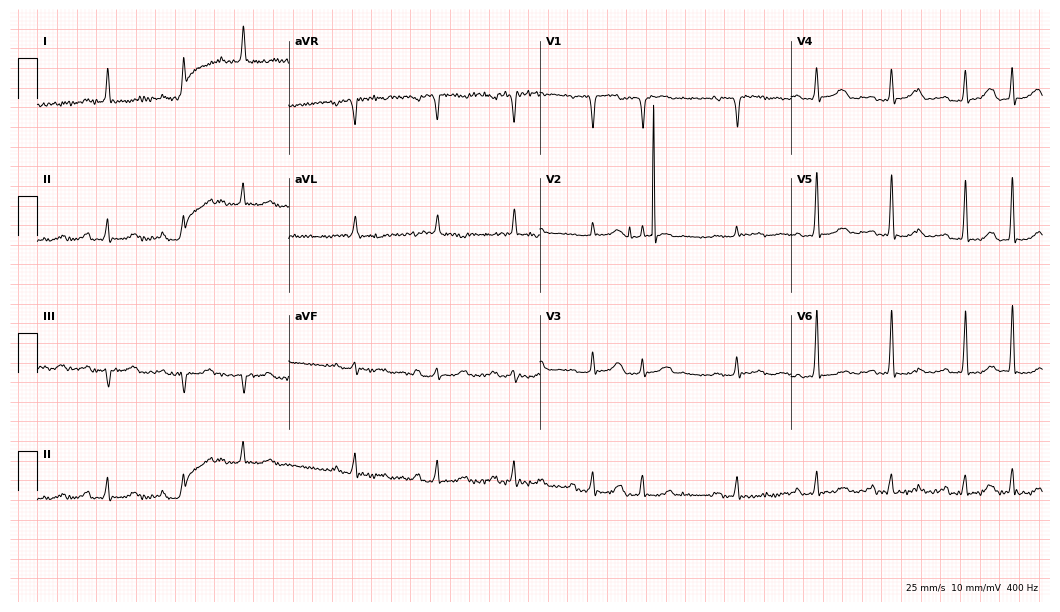
Electrocardiogram (10.2-second recording at 400 Hz), a female patient, 82 years old. Of the six screened findings (first-degree AV block, right bundle branch block, left bundle branch block, sinus bradycardia, atrial fibrillation, sinus tachycardia), none is recorded. Only these six findings were labelled.